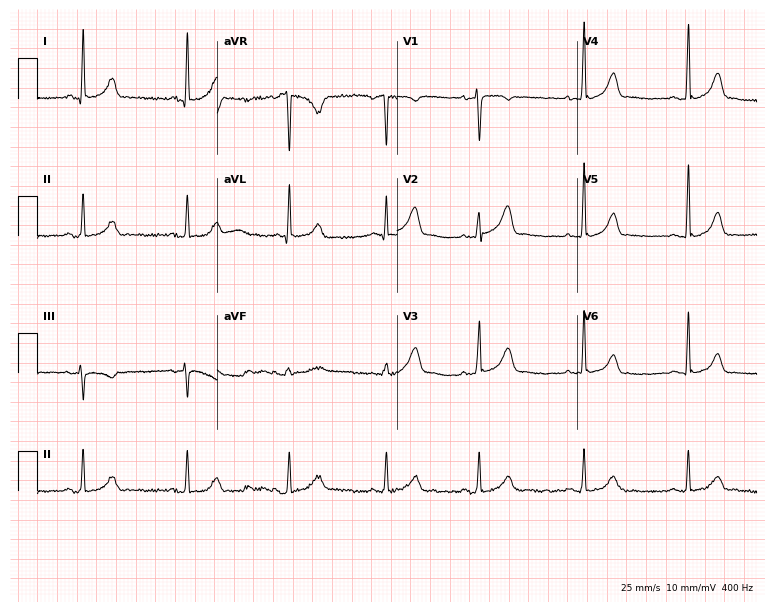
Standard 12-lead ECG recorded from a 40-year-old female patient (7.3-second recording at 400 Hz). None of these six findings is recorded: first-degree AV block, right bundle branch block (RBBB), left bundle branch block (LBBB), sinus bradycardia, atrial fibrillation (AF), sinus tachycardia.